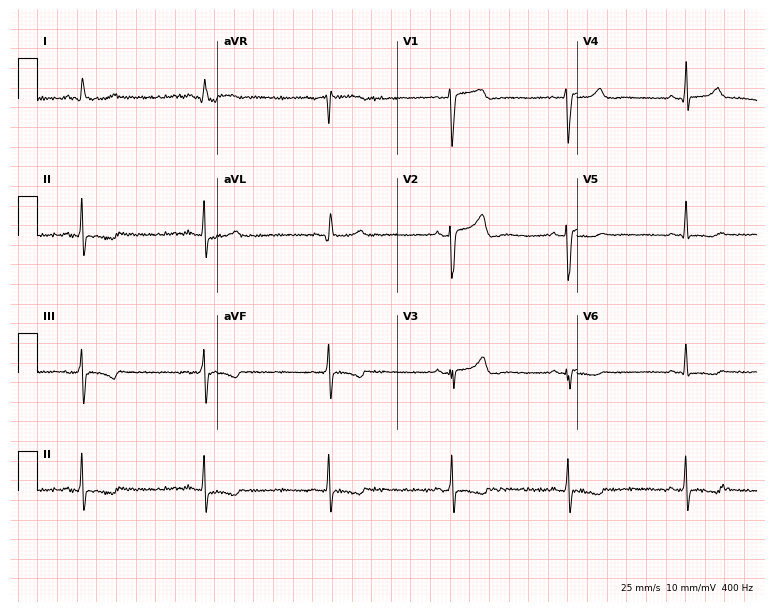
12-lead ECG (7.3-second recording at 400 Hz) from a man, 59 years old. Screened for six findings — first-degree AV block, right bundle branch block, left bundle branch block, sinus bradycardia, atrial fibrillation, sinus tachycardia — none is recorded.